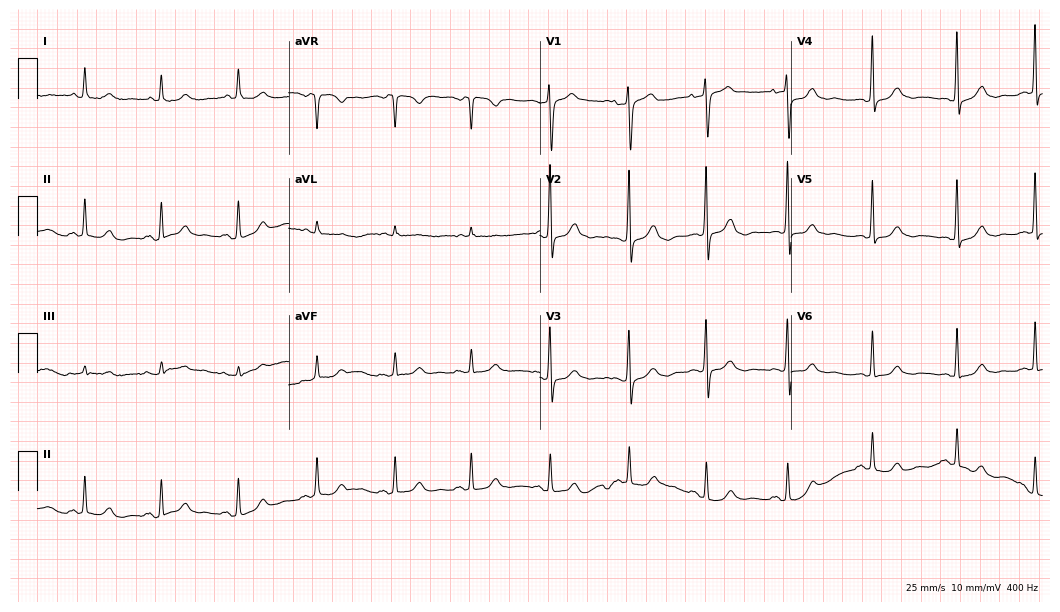
Electrocardiogram (10.2-second recording at 400 Hz), a female patient, 68 years old. Of the six screened findings (first-degree AV block, right bundle branch block, left bundle branch block, sinus bradycardia, atrial fibrillation, sinus tachycardia), none is recorded.